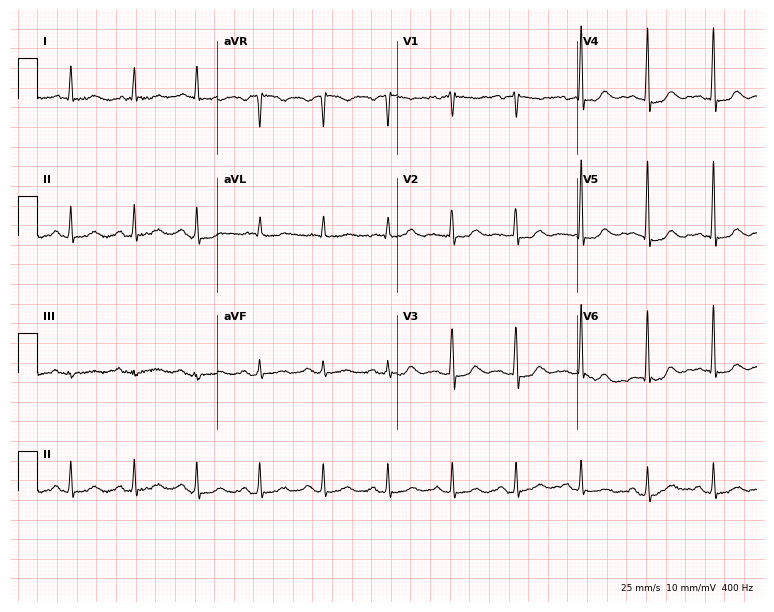
Electrocardiogram, a 69-year-old woman. Of the six screened findings (first-degree AV block, right bundle branch block, left bundle branch block, sinus bradycardia, atrial fibrillation, sinus tachycardia), none is recorded. Other findings, if any, are not listed.